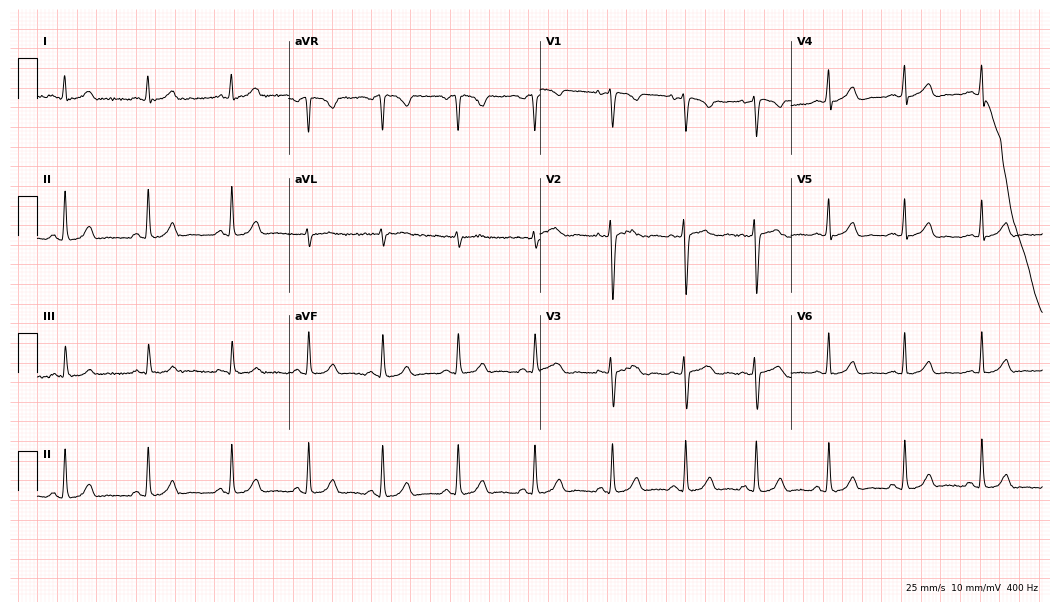
Standard 12-lead ECG recorded from a 20-year-old female patient. Read as a normal ECG.